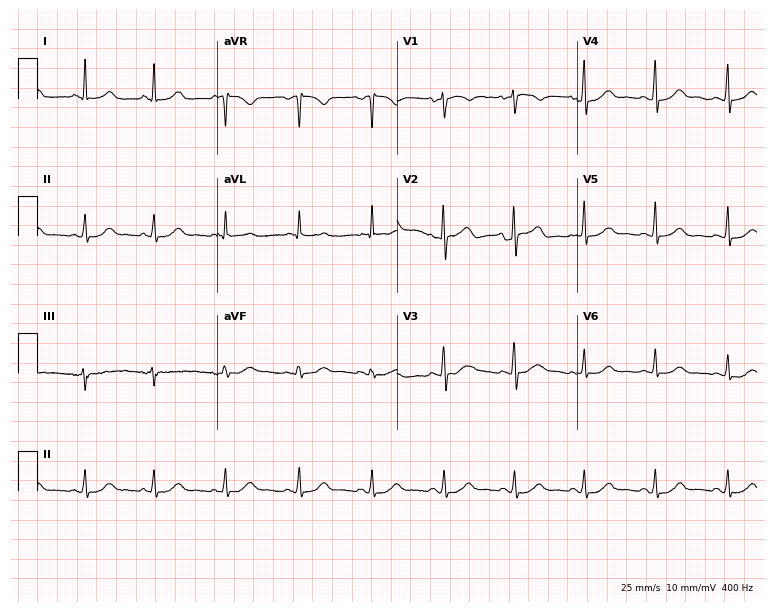
Standard 12-lead ECG recorded from a 43-year-old woman (7.3-second recording at 400 Hz). Read as a normal ECG.